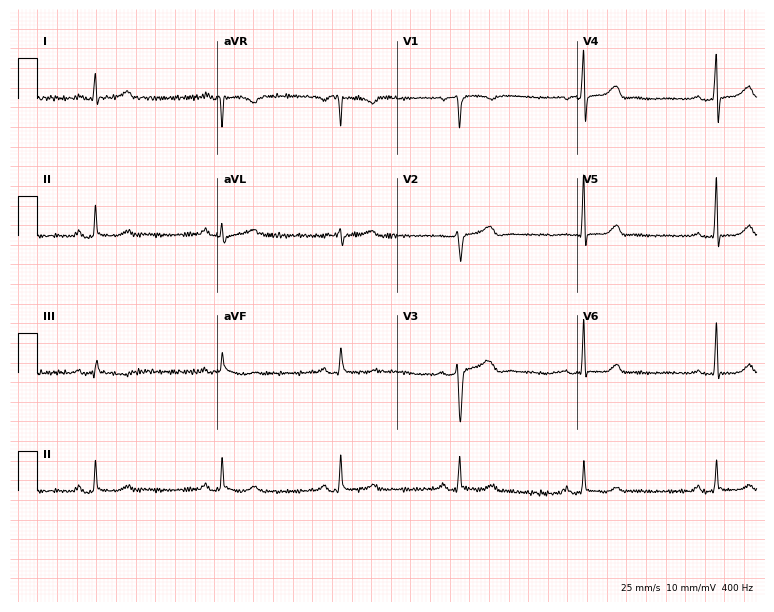
12-lead ECG (7.3-second recording at 400 Hz) from a woman, 48 years old. Findings include sinus bradycardia (a sinus rate of 50 beats per minute or less).